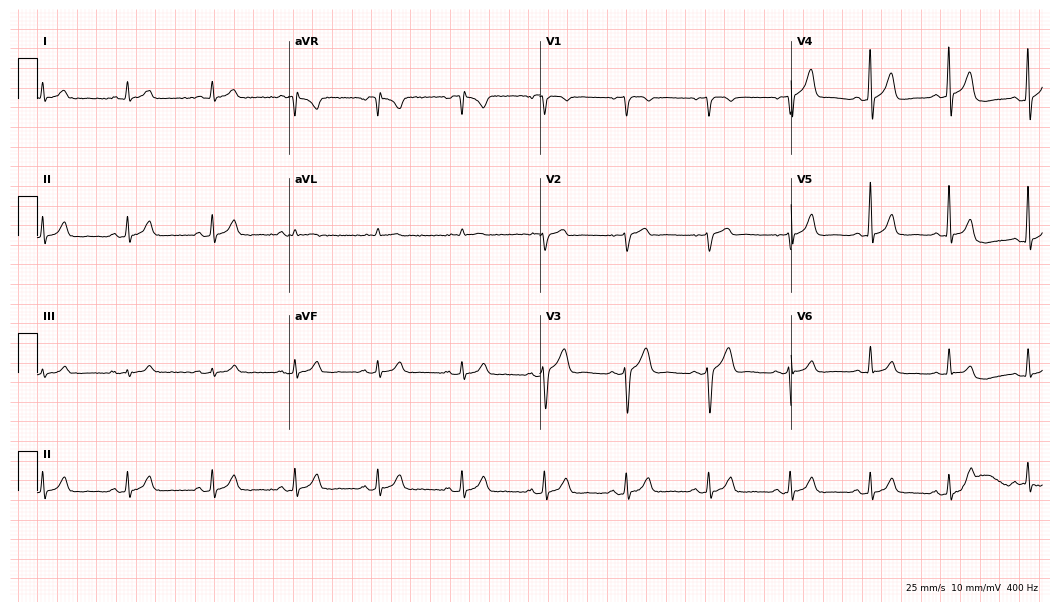
12-lead ECG (10.2-second recording at 400 Hz) from a male, 60 years old. Labelled as a normal ECG.